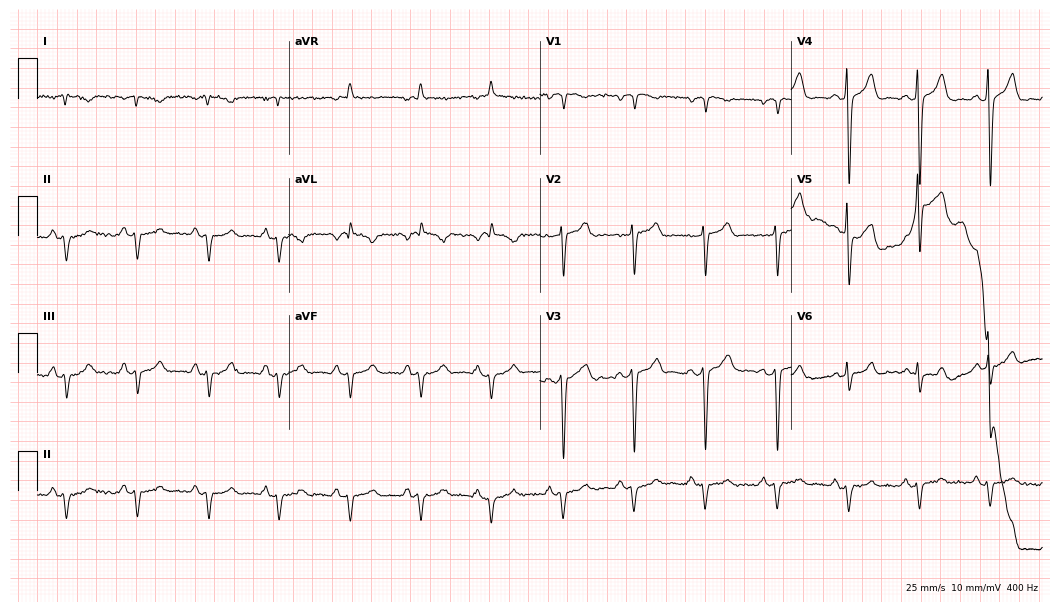
Electrocardiogram (10.2-second recording at 400 Hz), a 54-year-old man. Of the six screened findings (first-degree AV block, right bundle branch block, left bundle branch block, sinus bradycardia, atrial fibrillation, sinus tachycardia), none is recorded. Findings outside these six are not listed.